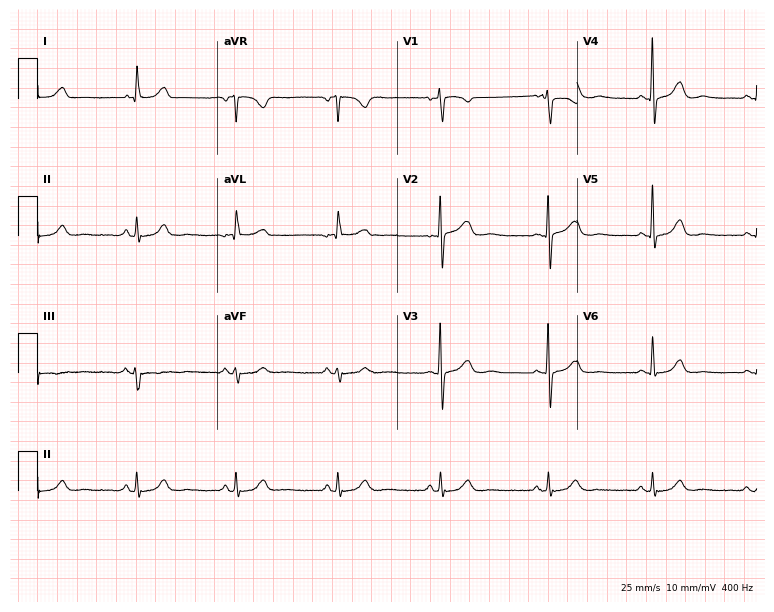
Standard 12-lead ECG recorded from a 75-year-old woman. Read as a normal ECG.